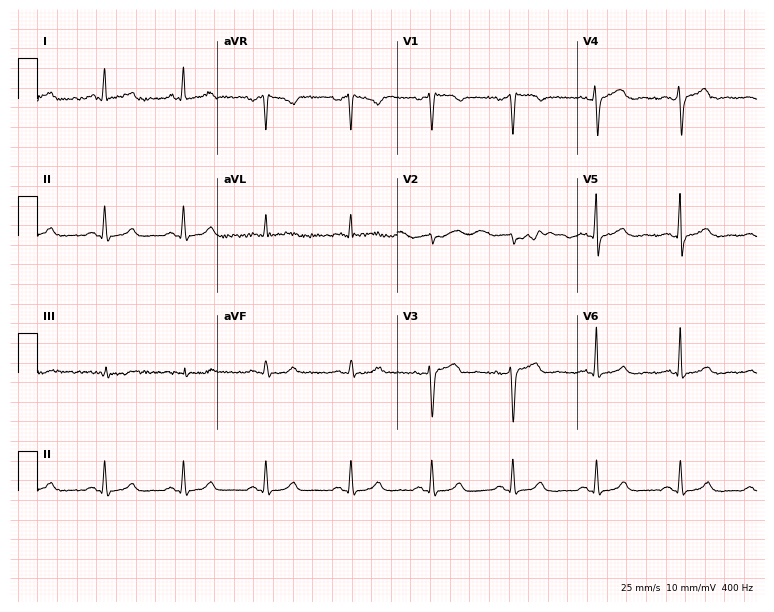
Electrocardiogram (7.3-second recording at 400 Hz), a 49-year-old female patient. Overall reading on record: normal ECG.